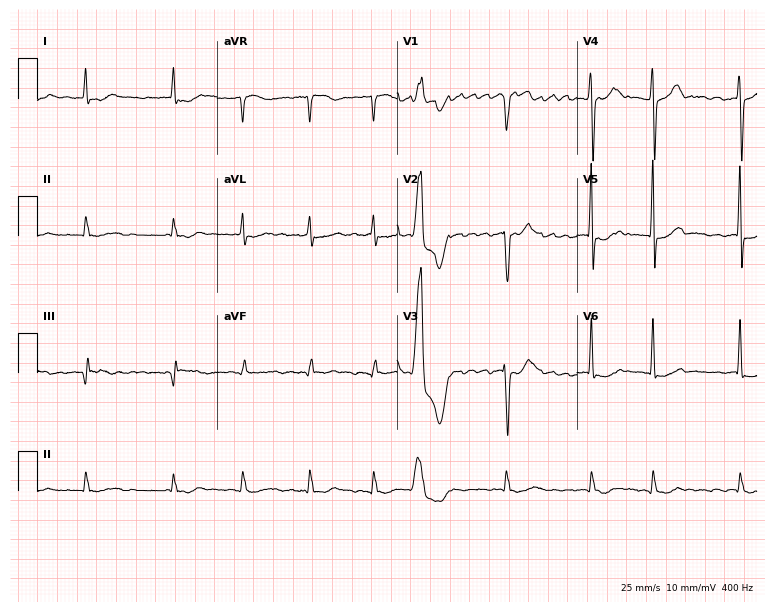
12-lead ECG from a 79-year-old male. Shows atrial fibrillation.